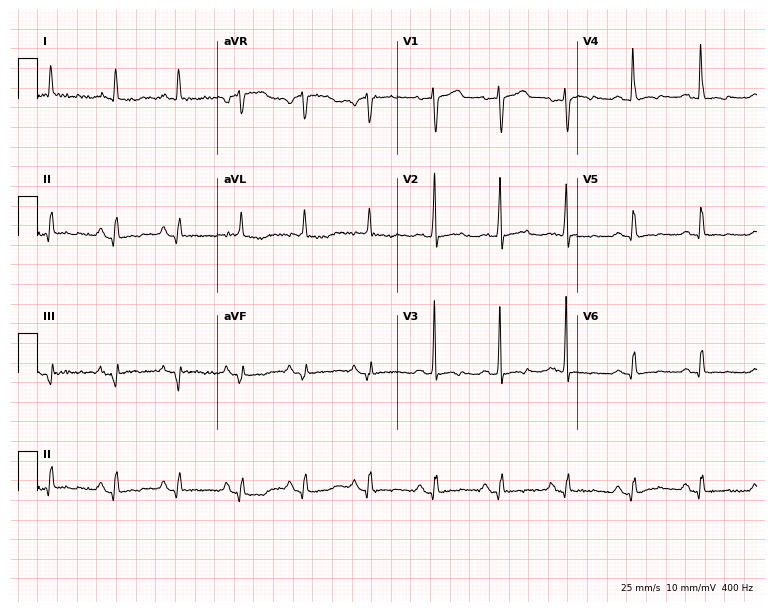
12-lead ECG from a 67-year-old female. Screened for six findings — first-degree AV block, right bundle branch block, left bundle branch block, sinus bradycardia, atrial fibrillation, sinus tachycardia — none is recorded.